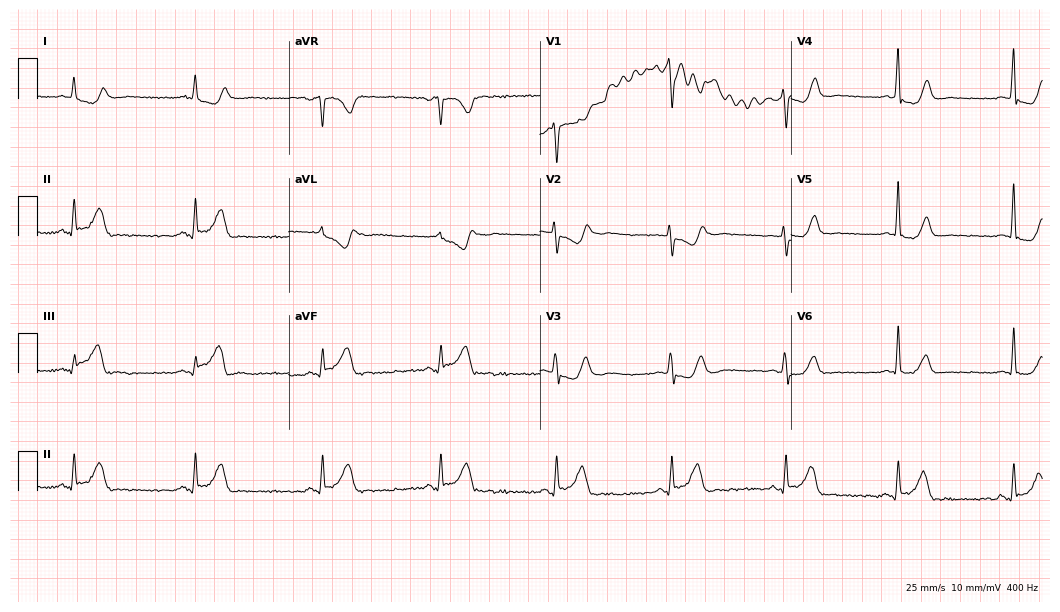
ECG (10.2-second recording at 400 Hz) — a 52-year-old male. Screened for six findings — first-degree AV block, right bundle branch block, left bundle branch block, sinus bradycardia, atrial fibrillation, sinus tachycardia — none is recorded.